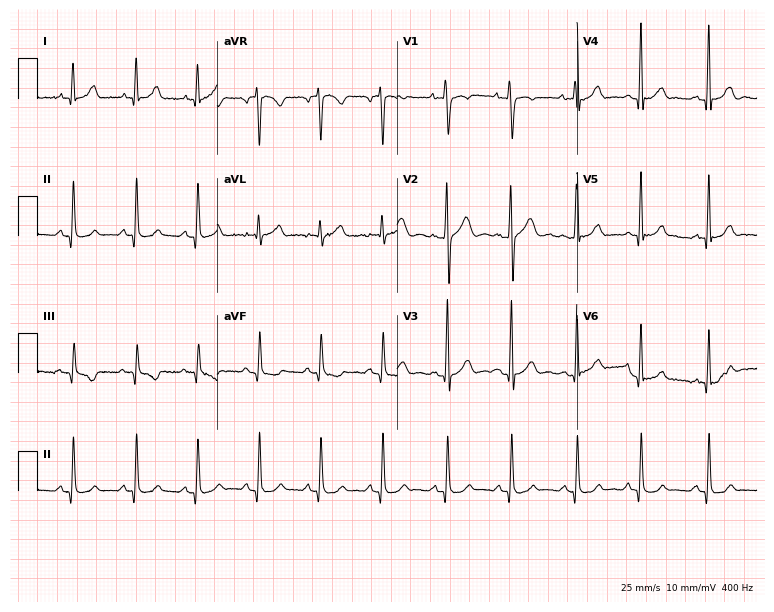
ECG (7.3-second recording at 400 Hz) — a male patient, 24 years old. Screened for six findings — first-degree AV block, right bundle branch block (RBBB), left bundle branch block (LBBB), sinus bradycardia, atrial fibrillation (AF), sinus tachycardia — none is recorded. Only these six findings were labelled.